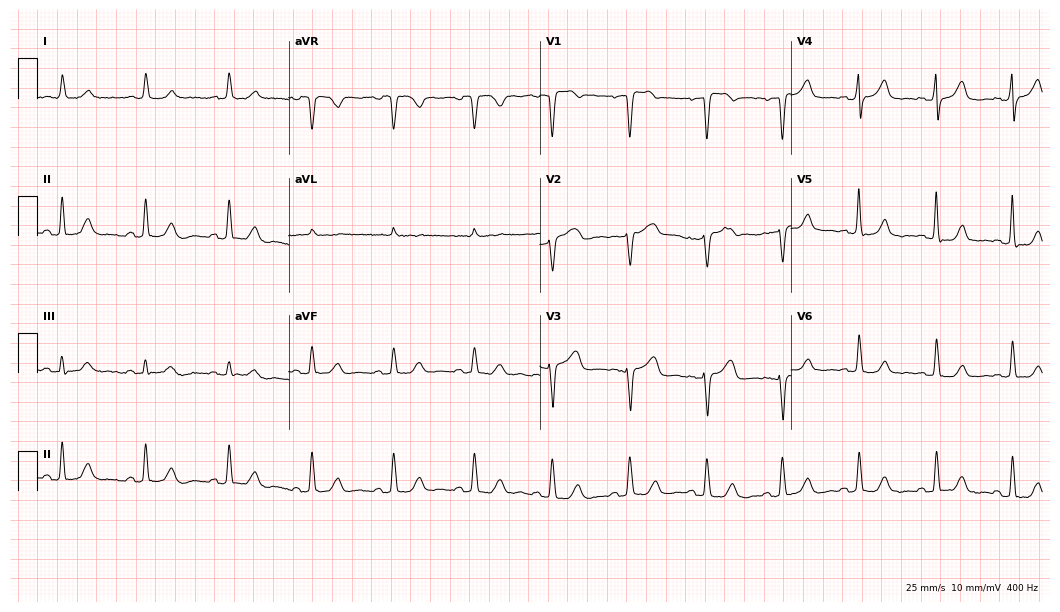
12-lead ECG from a woman, 69 years old (10.2-second recording at 400 Hz). No first-degree AV block, right bundle branch block, left bundle branch block, sinus bradycardia, atrial fibrillation or sinus tachycardia recorded for this tracing.